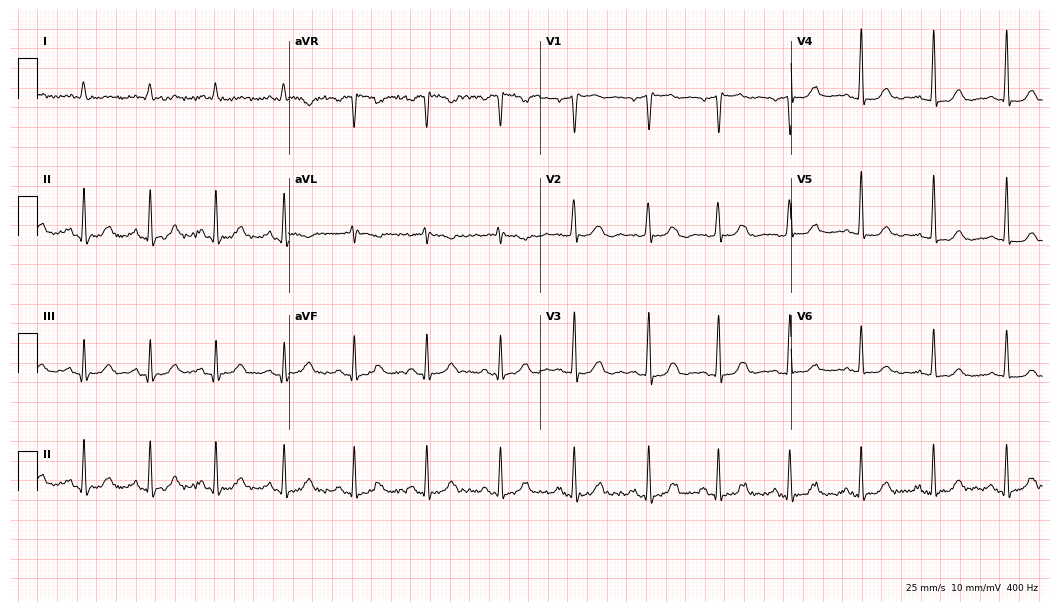
ECG (10.2-second recording at 400 Hz) — a 54-year-old male. Screened for six findings — first-degree AV block, right bundle branch block (RBBB), left bundle branch block (LBBB), sinus bradycardia, atrial fibrillation (AF), sinus tachycardia — none is recorded. Only these six findings were labelled.